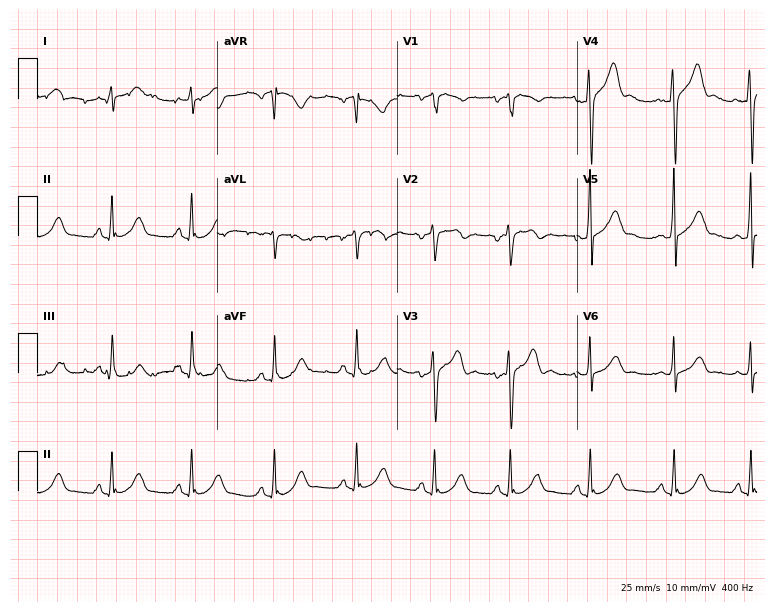
12-lead ECG (7.3-second recording at 400 Hz) from a man, 30 years old. Screened for six findings — first-degree AV block, right bundle branch block, left bundle branch block, sinus bradycardia, atrial fibrillation, sinus tachycardia — none is recorded. Findings outside these six are not listed.